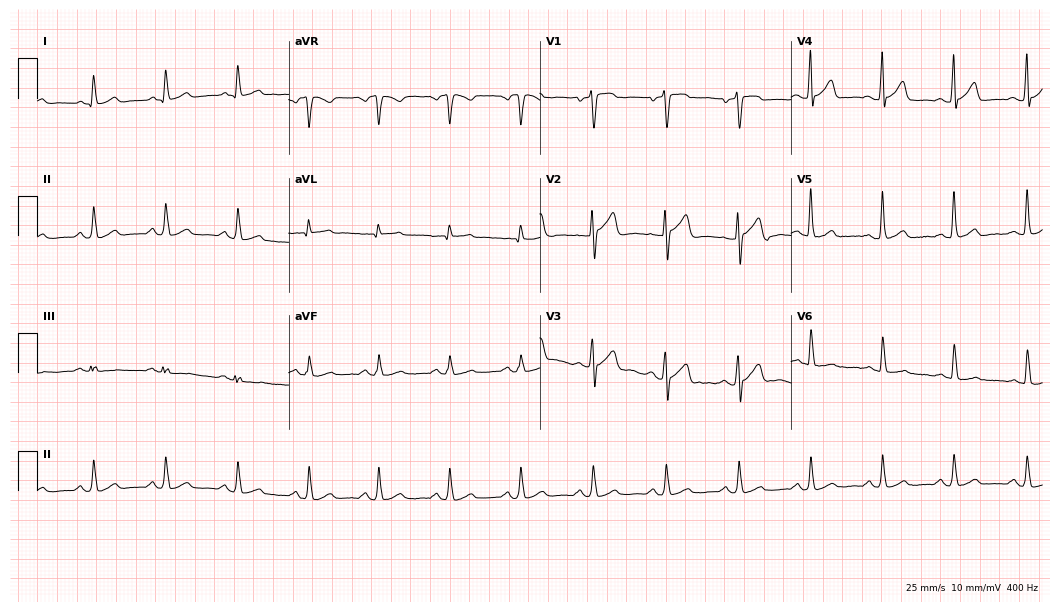
Resting 12-lead electrocardiogram. Patient: a male, 53 years old. Read as a normal ECG.